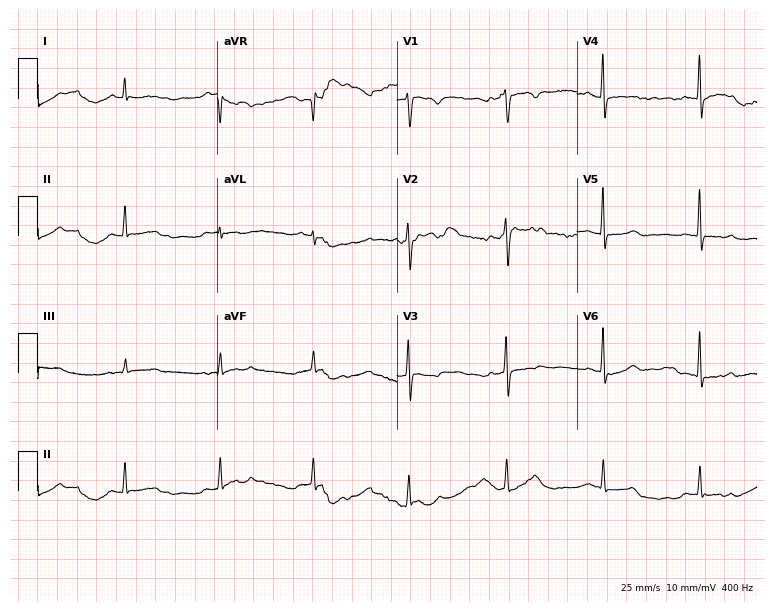
Standard 12-lead ECG recorded from a 54-year-old female patient (7.3-second recording at 400 Hz). None of these six findings is recorded: first-degree AV block, right bundle branch block (RBBB), left bundle branch block (LBBB), sinus bradycardia, atrial fibrillation (AF), sinus tachycardia. Findings outside these six are not listed.